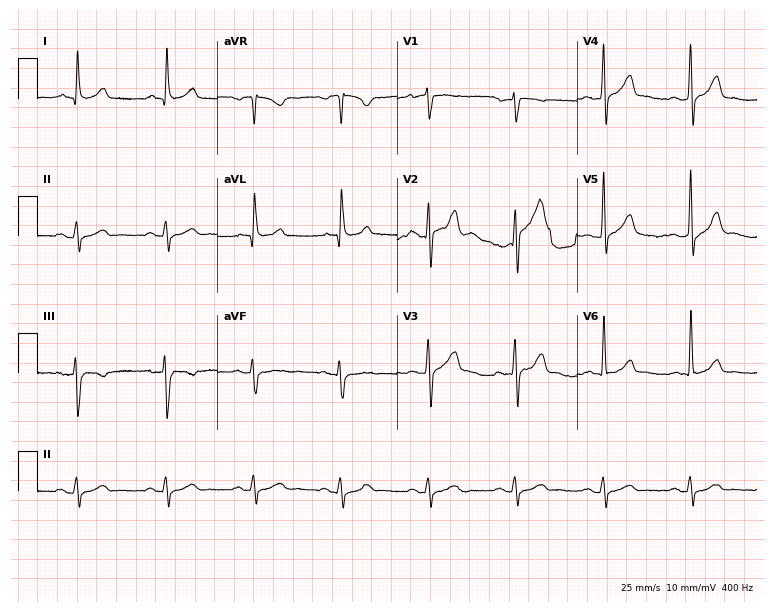
Electrocardiogram, a male, 67 years old. Of the six screened findings (first-degree AV block, right bundle branch block, left bundle branch block, sinus bradycardia, atrial fibrillation, sinus tachycardia), none is recorded.